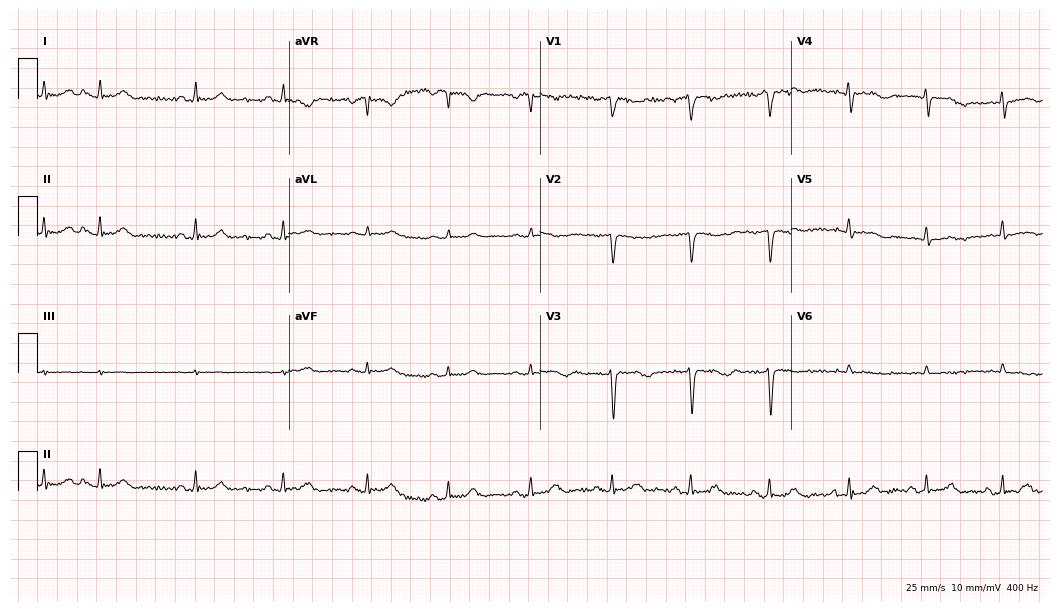
12-lead ECG from a male, 70 years old. No first-degree AV block, right bundle branch block, left bundle branch block, sinus bradycardia, atrial fibrillation or sinus tachycardia recorded for this tracing.